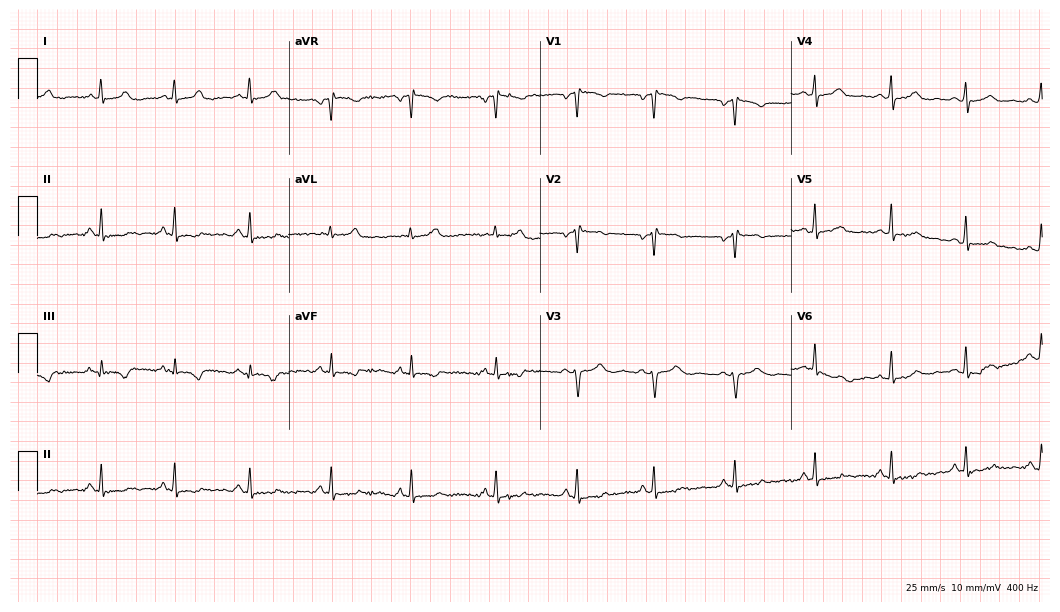
Electrocardiogram (10.2-second recording at 400 Hz), a 24-year-old woman. Of the six screened findings (first-degree AV block, right bundle branch block, left bundle branch block, sinus bradycardia, atrial fibrillation, sinus tachycardia), none is recorded.